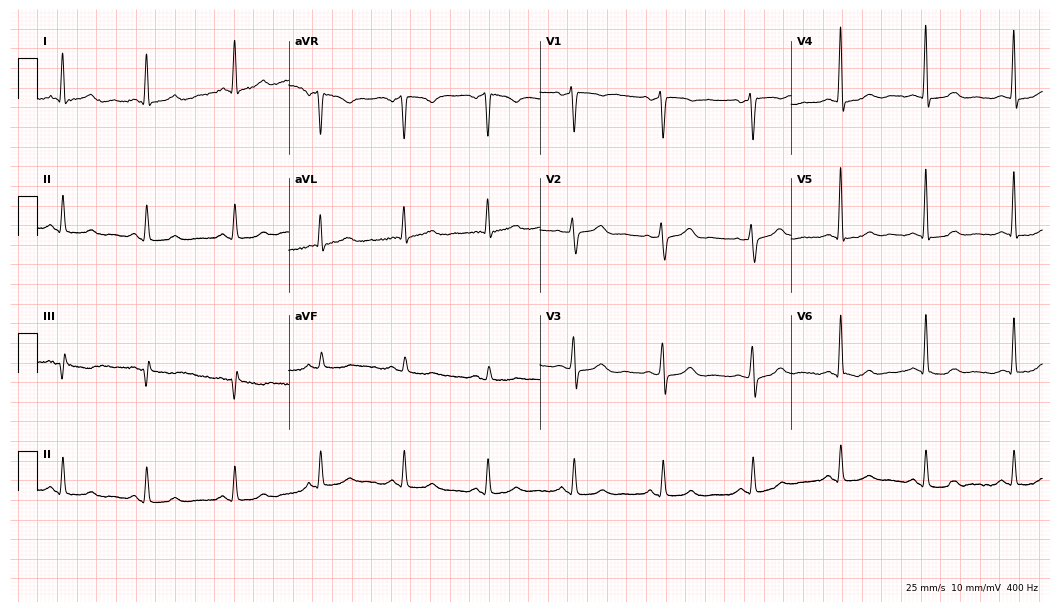
ECG — a 55-year-old male. Labelled as a normal ECG.